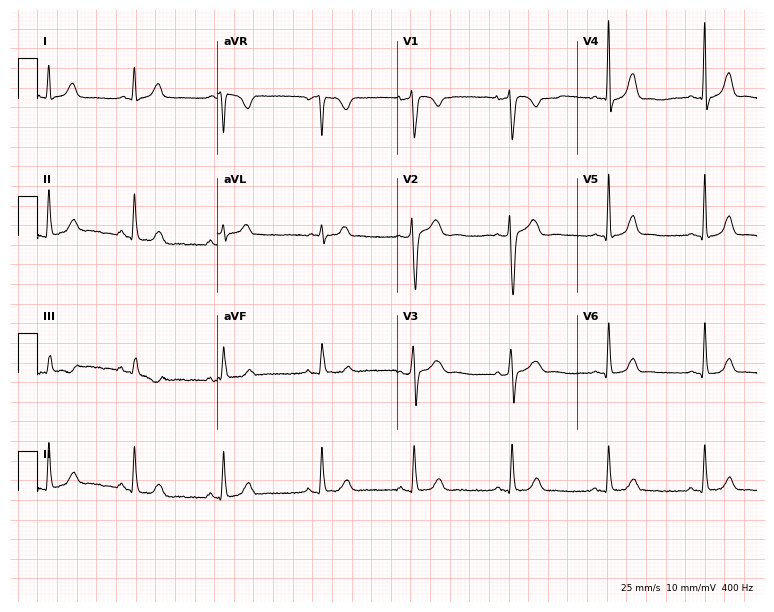
Resting 12-lead electrocardiogram. Patient: a woman, 31 years old. None of these six findings is recorded: first-degree AV block, right bundle branch block (RBBB), left bundle branch block (LBBB), sinus bradycardia, atrial fibrillation (AF), sinus tachycardia. Findings outside these six are not listed.